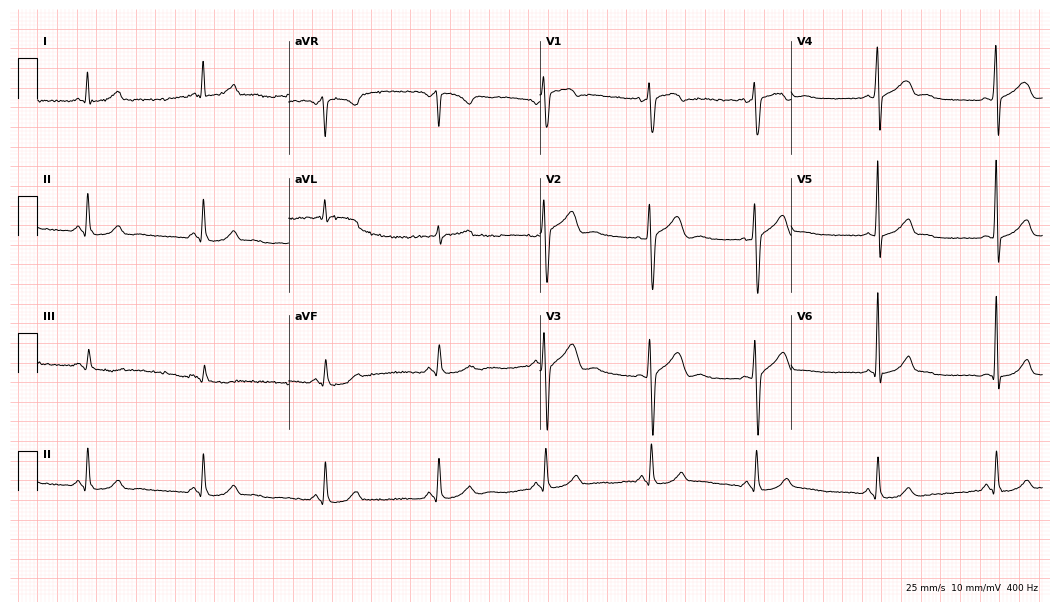
Electrocardiogram, a man, 38 years old. Of the six screened findings (first-degree AV block, right bundle branch block (RBBB), left bundle branch block (LBBB), sinus bradycardia, atrial fibrillation (AF), sinus tachycardia), none is recorded.